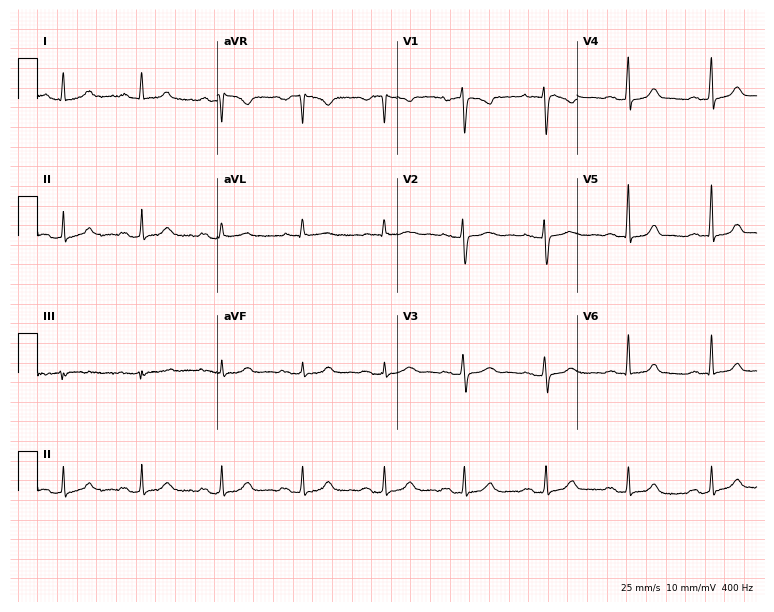
ECG (7.3-second recording at 400 Hz) — a 47-year-old female patient. Labelled as a normal ECG.